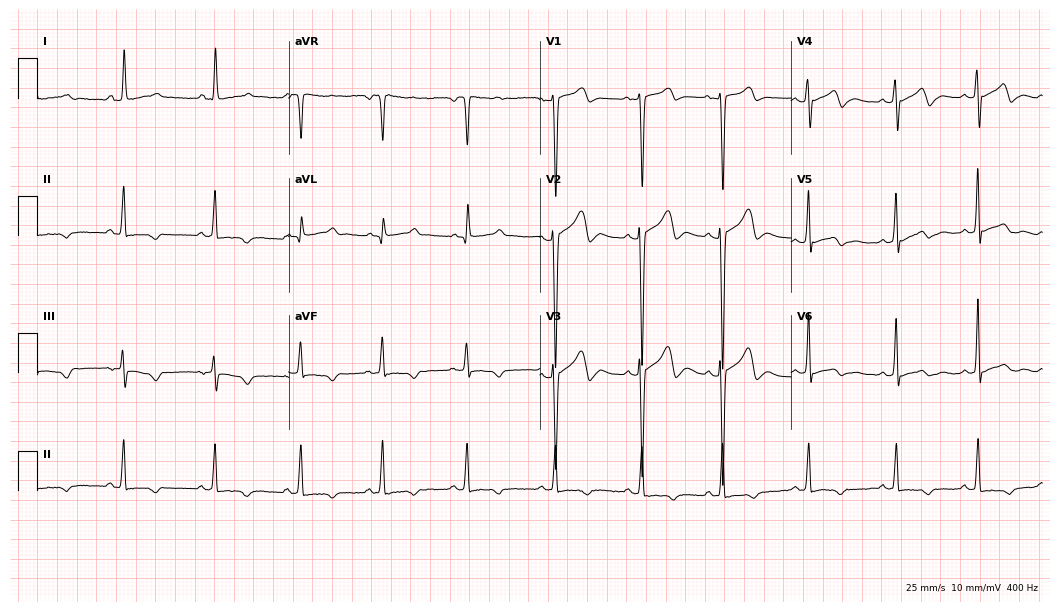
Resting 12-lead electrocardiogram (10.2-second recording at 400 Hz). Patient: a female, 32 years old. None of these six findings is recorded: first-degree AV block, right bundle branch block, left bundle branch block, sinus bradycardia, atrial fibrillation, sinus tachycardia.